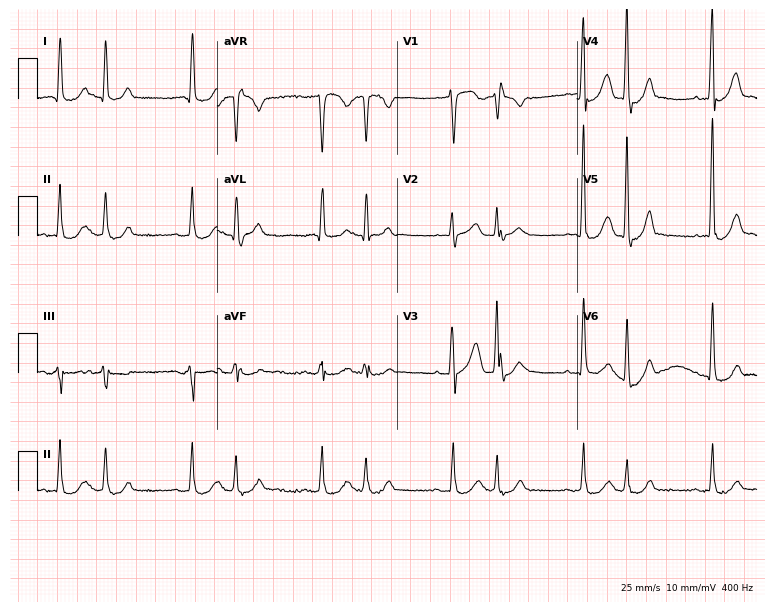
12-lead ECG from a male, 82 years old. Screened for six findings — first-degree AV block, right bundle branch block, left bundle branch block, sinus bradycardia, atrial fibrillation, sinus tachycardia — none is recorded.